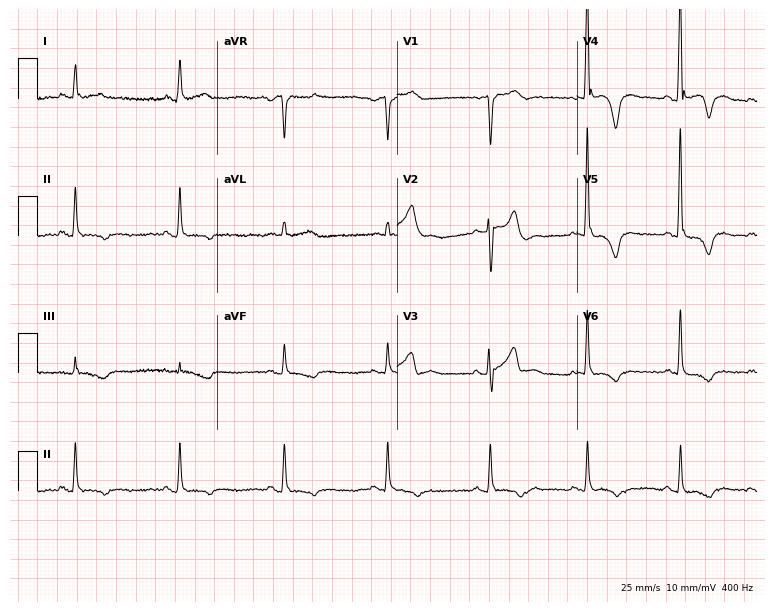
Standard 12-lead ECG recorded from a 46-year-old male patient (7.3-second recording at 400 Hz). None of these six findings is recorded: first-degree AV block, right bundle branch block, left bundle branch block, sinus bradycardia, atrial fibrillation, sinus tachycardia. Findings outside these six are not listed.